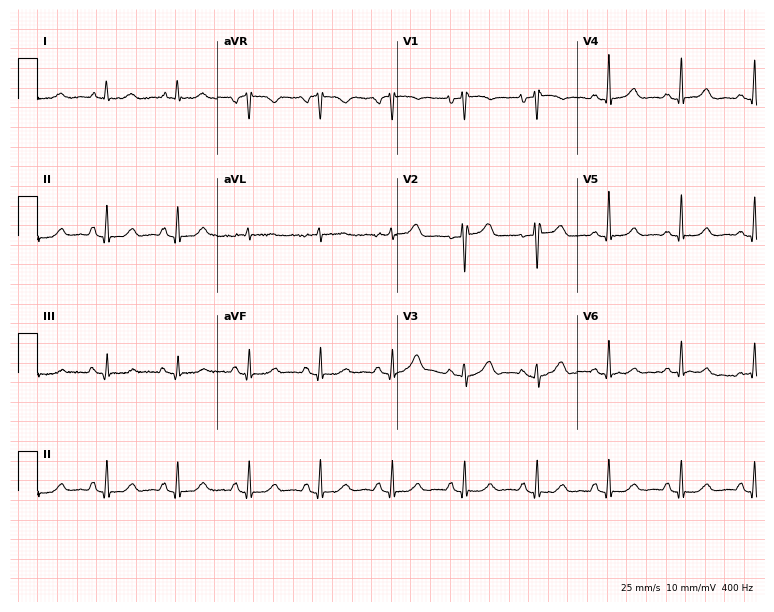
Electrocardiogram (7.3-second recording at 400 Hz), a female, 80 years old. Overall reading on record: normal ECG.